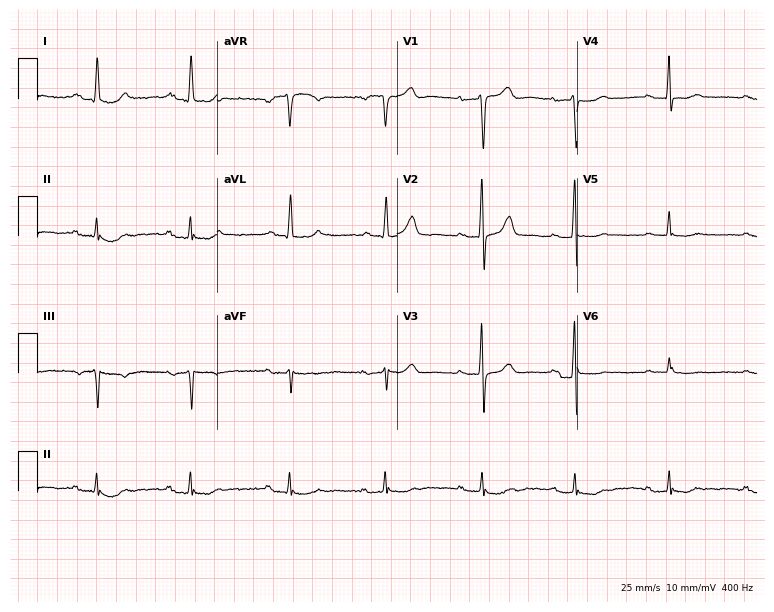
Standard 12-lead ECG recorded from a male patient, 71 years old (7.3-second recording at 400 Hz). The tracing shows first-degree AV block.